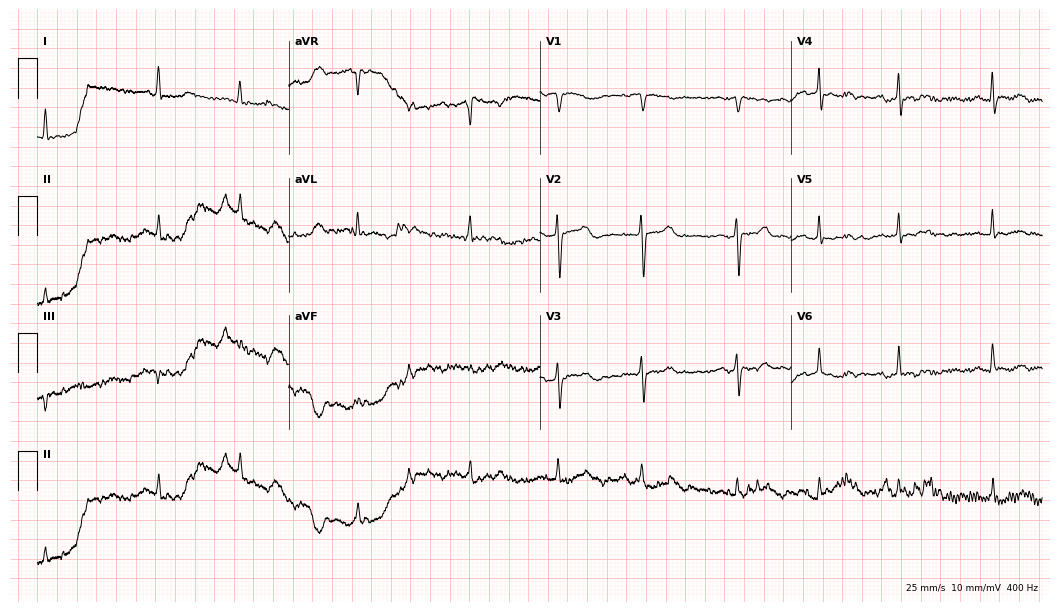
Resting 12-lead electrocardiogram. Patient: a female, 68 years old. None of these six findings is recorded: first-degree AV block, right bundle branch block, left bundle branch block, sinus bradycardia, atrial fibrillation, sinus tachycardia. Findings outside these six are not listed.